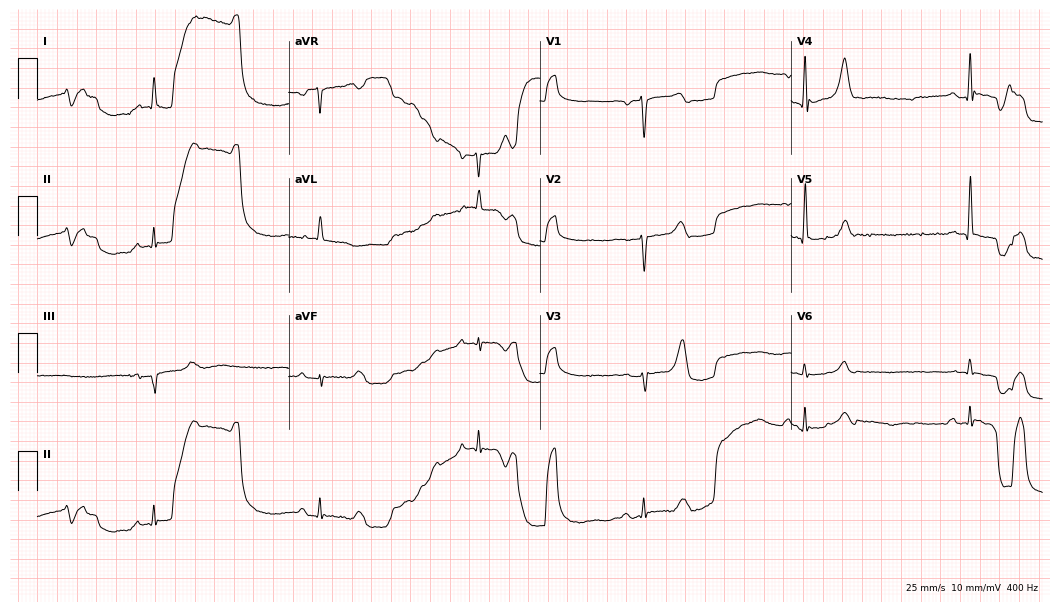
Standard 12-lead ECG recorded from an 85-year-old female patient (10.2-second recording at 400 Hz). None of these six findings is recorded: first-degree AV block, right bundle branch block, left bundle branch block, sinus bradycardia, atrial fibrillation, sinus tachycardia. Findings outside these six are not listed.